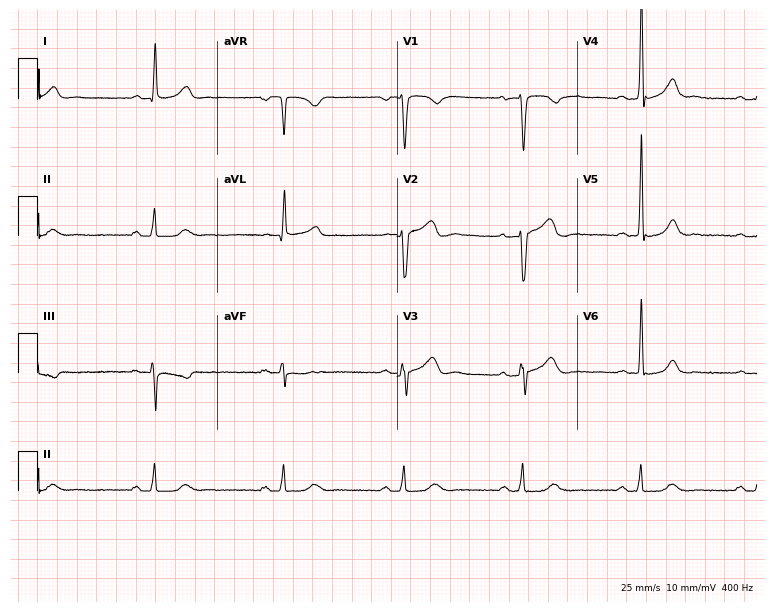
Resting 12-lead electrocardiogram (7.3-second recording at 400 Hz). Patient: a 55-year-old male. The tracing shows sinus bradycardia (a sinus rate of 50 beats per minute or less).